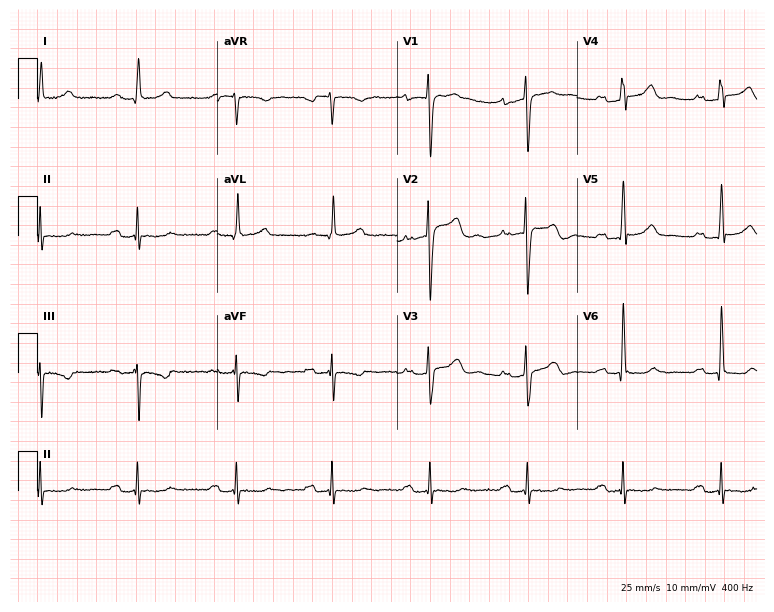
Resting 12-lead electrocardiogram. Patient: a 53-year-old female. None of these six findings is recorded: first-degree AV block, right bundle branch block, left bundle branch block, sinus bradycardia, atrial fibrillation, sinus tachycardia.